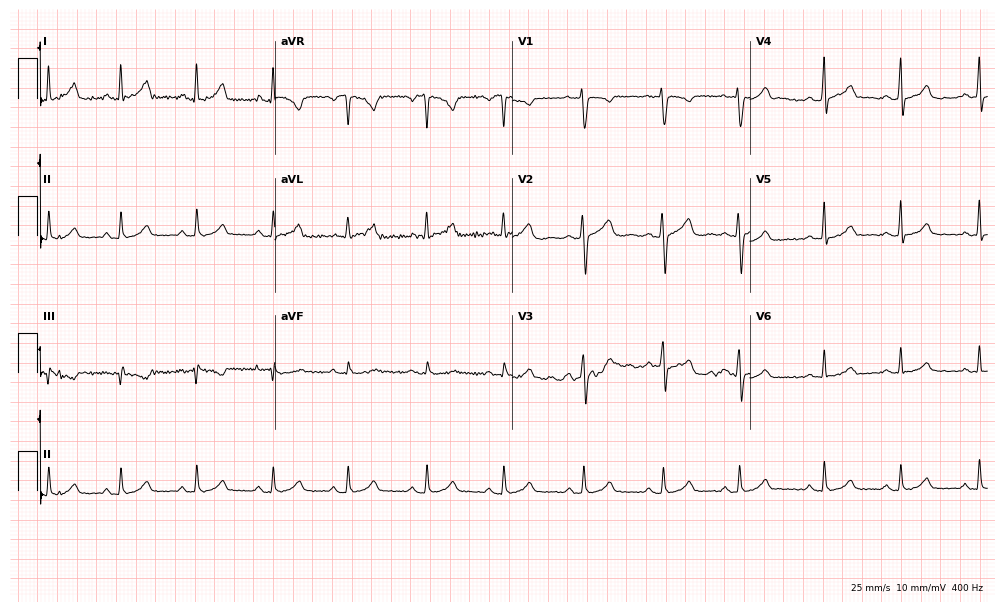
12-lead ECG from a 24-year-old female patient. Labelled as a normal ECG.